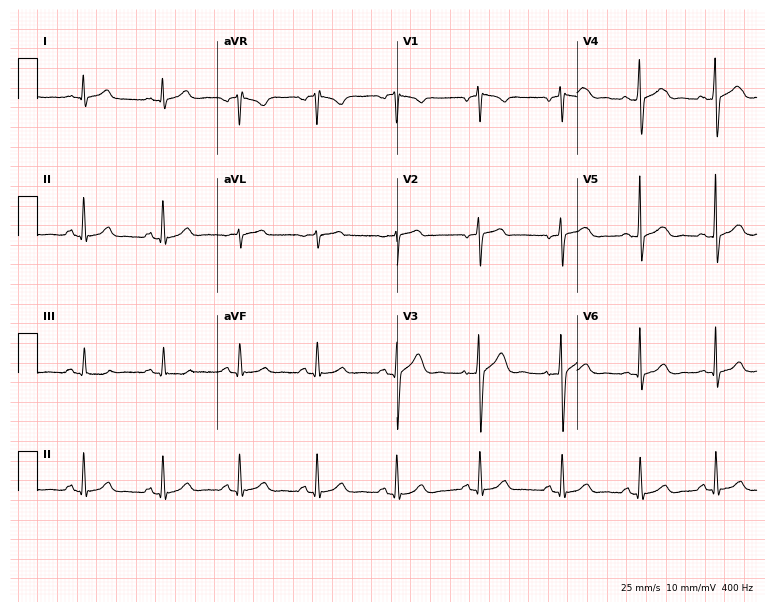
12-lead ECG from a male, 43 years old. Labelled as a normal ECG.